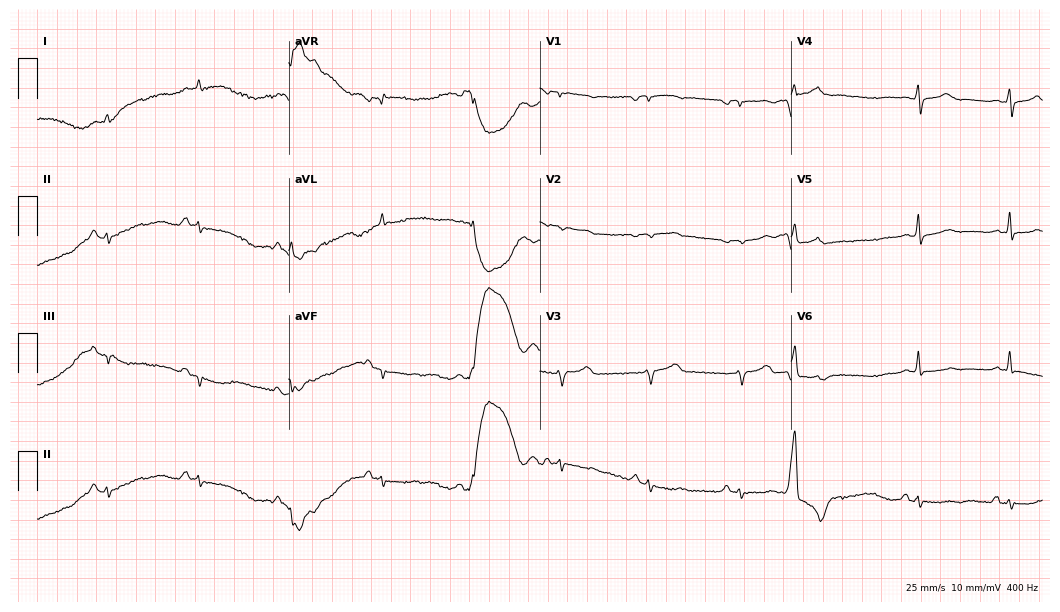
12-lead ECG from a 78-year-old male. Screened for six findings — first-degree AV block, right bundle branch block (RBBB), left bundle branch block (LBBB), sinus bradycardia, atrial fibrillation (AF), sinus tachycardia — none is recorded. Only these six findings were labelled.